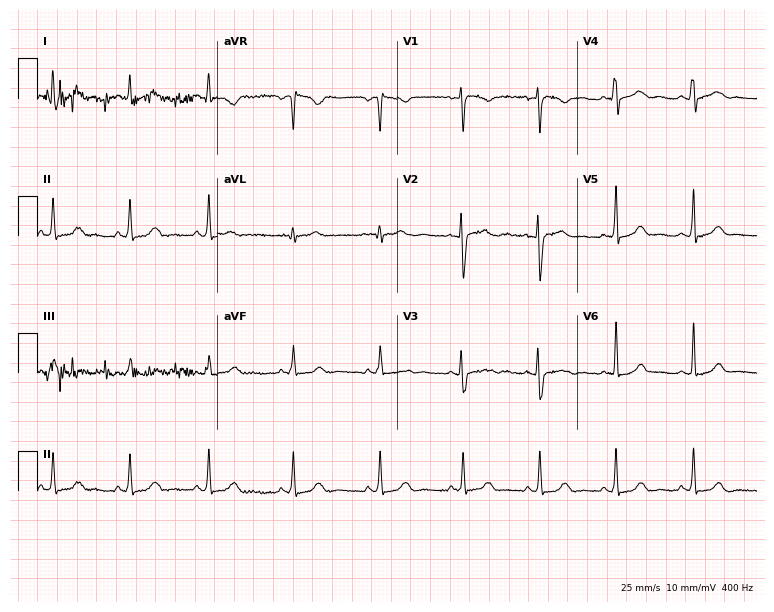
12-lead ECG from a female, 31 years old. Labelled as a normal ECG.